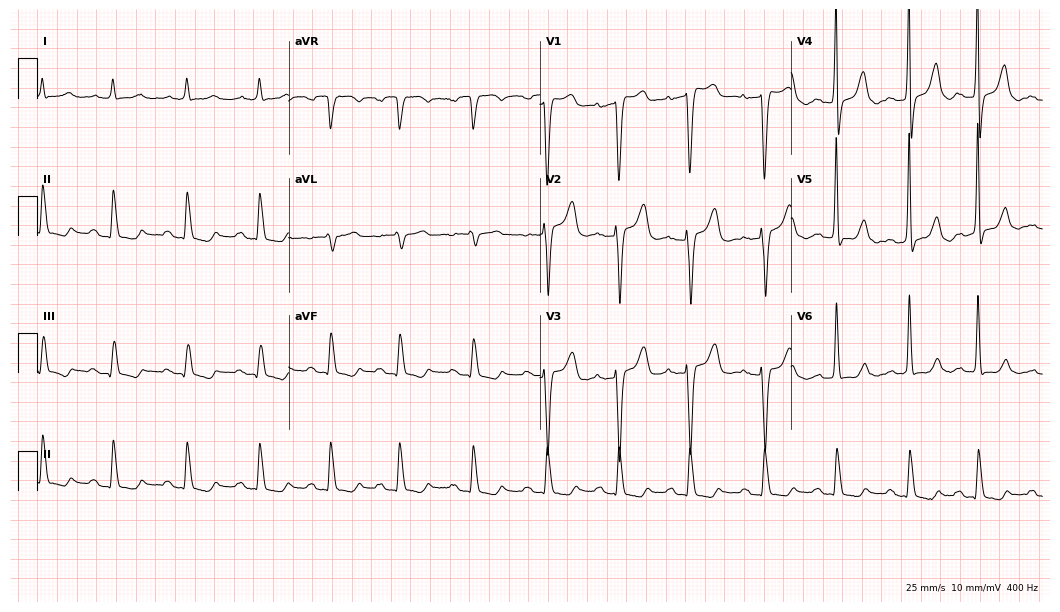
12-lead ECG from a 62-year-old female. No first-degree AV block, right bundle branch block, left bundle branch block, sinus bradycardia, atrial fibrillation or sinus tachycardia recorded for this tracing.